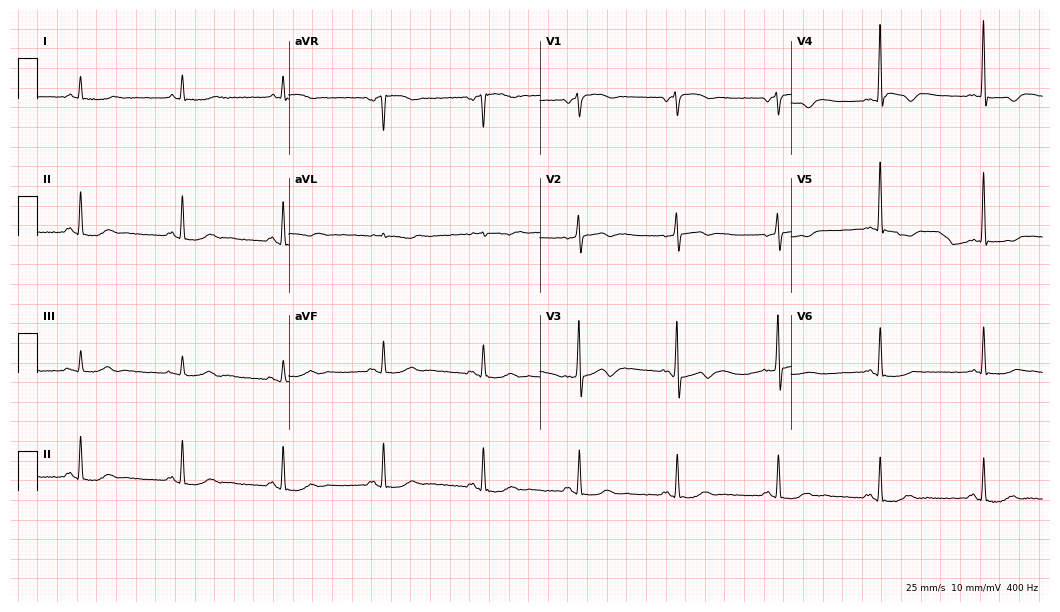
Standard 12-lead ECG recorded from a male, 81 years old. None of these six findings is recorded: first-degree AV block, right bundle branch block (RBBB), left bundle branch block (LBBB), sinus bradycardia, atrial fibrillation (AF), sinus tachycardia. Only these six findings were labelled.